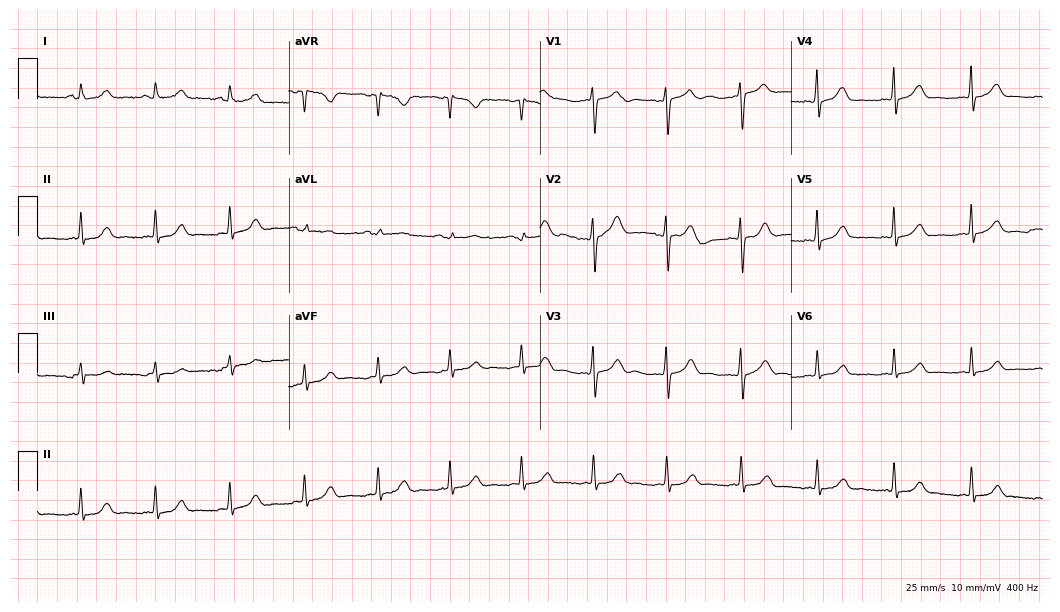
Resting 12-lead electrocardiogram. Patient: a 47-year-old woman. Read as a normal ECG.